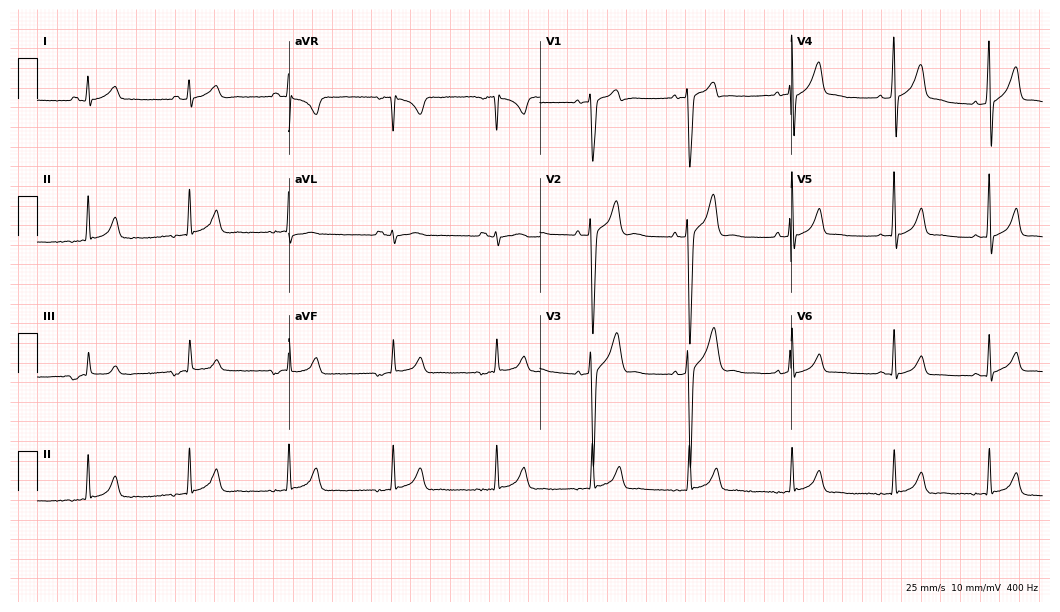
Standard 12-lead ECG recorded from a male, 21 years old. Read as a normal ECG.